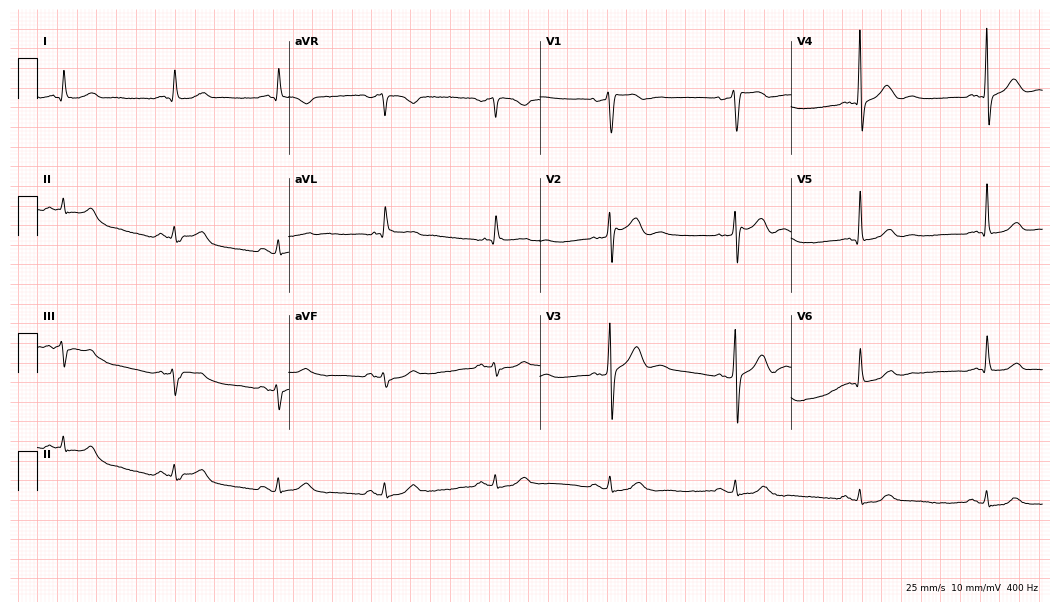
Resting 12-lead electrocardiogram. Patient: a 62-year-old man. None of these six findings is recorded: first-degree AV block, right bundle branch block, left bundle branch block, sinus bradycardia, atrial fibrillation, sinus tachycardia.